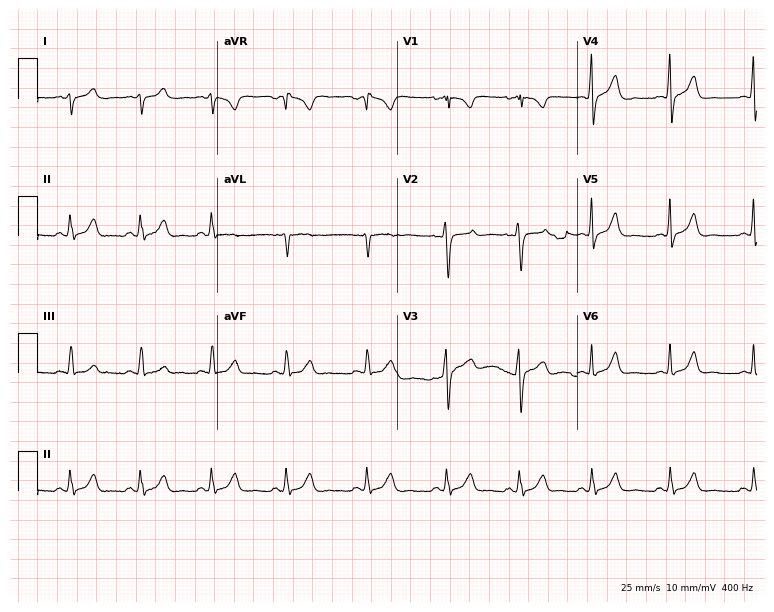
Standard 12-lead ECG recorded from a woman, 26 years old. None of these six findings is recorded: first-degree AV block, right bundle branch block (RBBB), left bundle branch block (LBBB), sinus bradycardia, atrial fibrillation (AF), sinus tachycardia. Other findings, if any, are not listed.